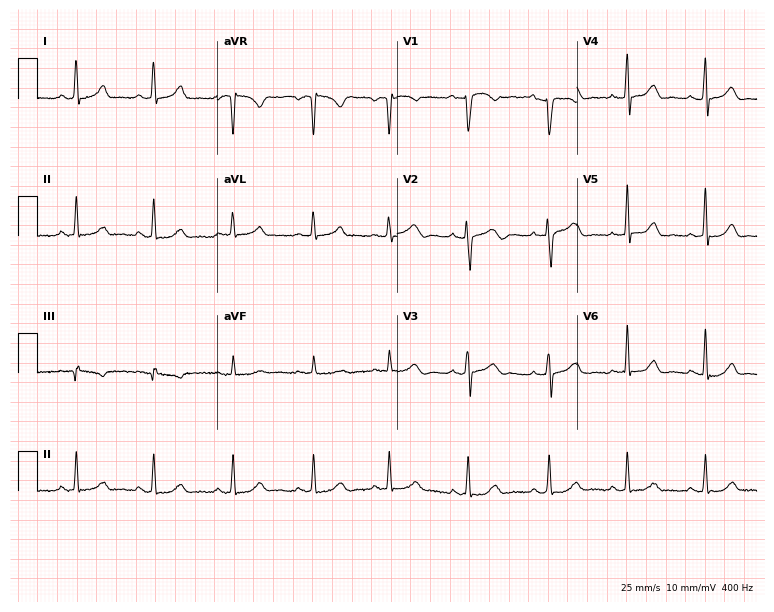
12-lead ECG from a woman, 24 years old. Labelled as a normal ECG.